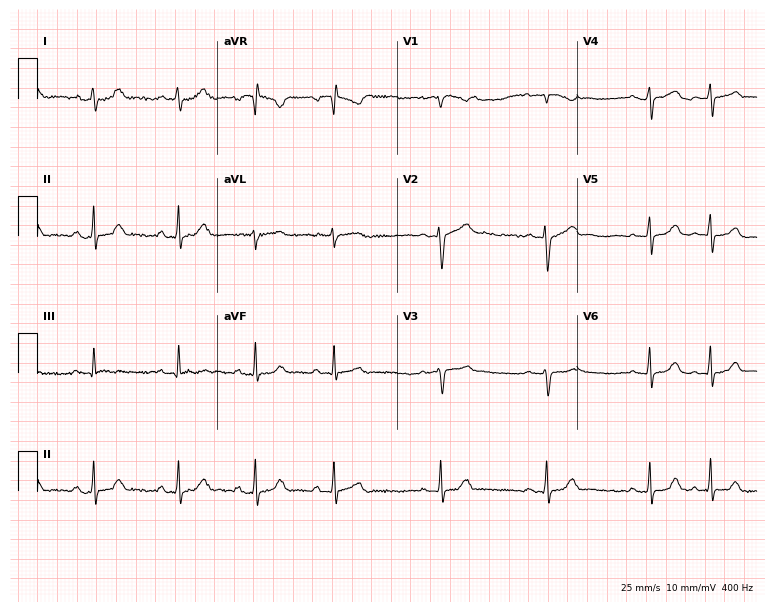
12-lead ECG from a female, 19 years old. Recorded interpretation: within normal limits.